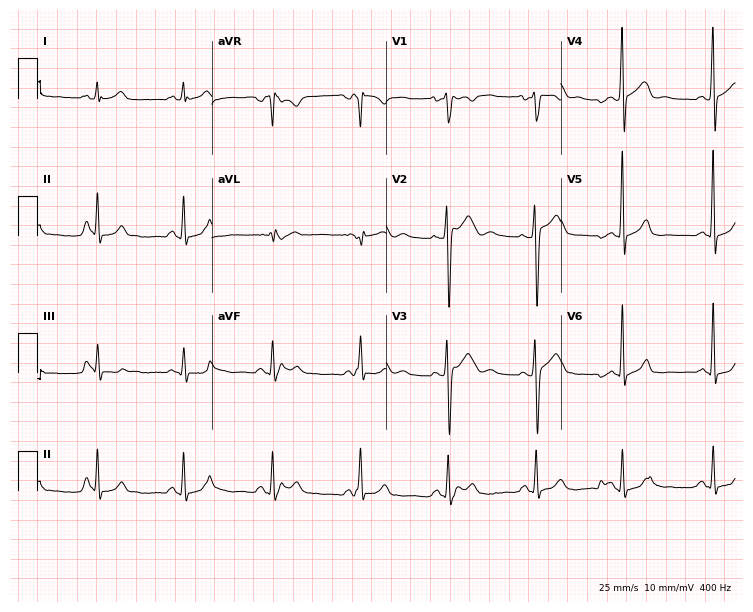
12-lead ECG from a male, 25 years old. No first-degree AV block, right bundle branch block (RBBB), left bundle branch block (LBBB), sinus bradycardia, atrial fibrillation (AF) or sinus tachycardia recorded for this tracing. Other findings, if any, are not listed.